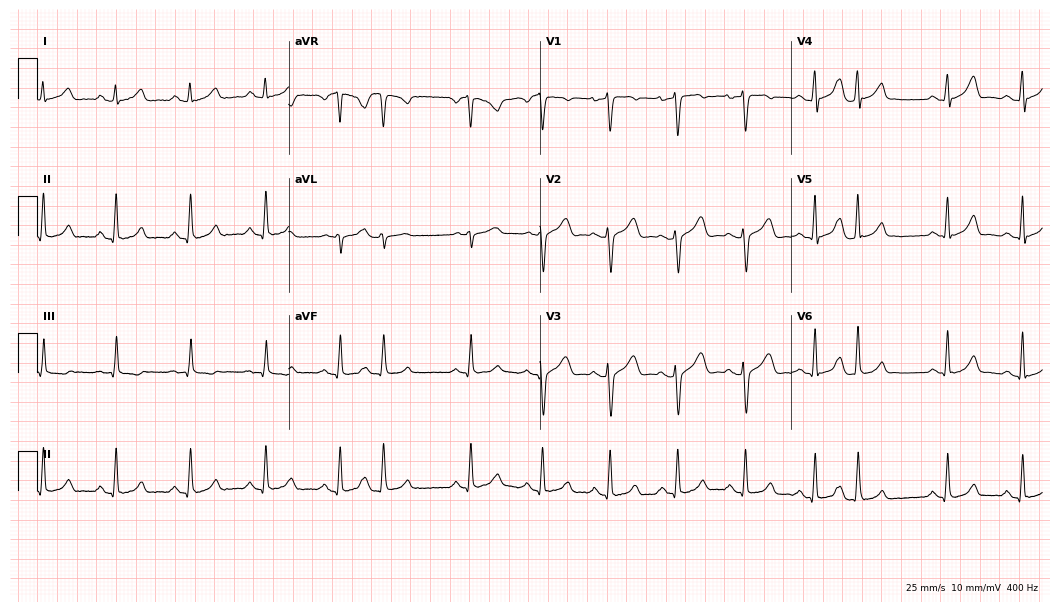
Resting 12-lead electrocardiogram. Patient: a woman, 40 years old. Read as a normal ECG.